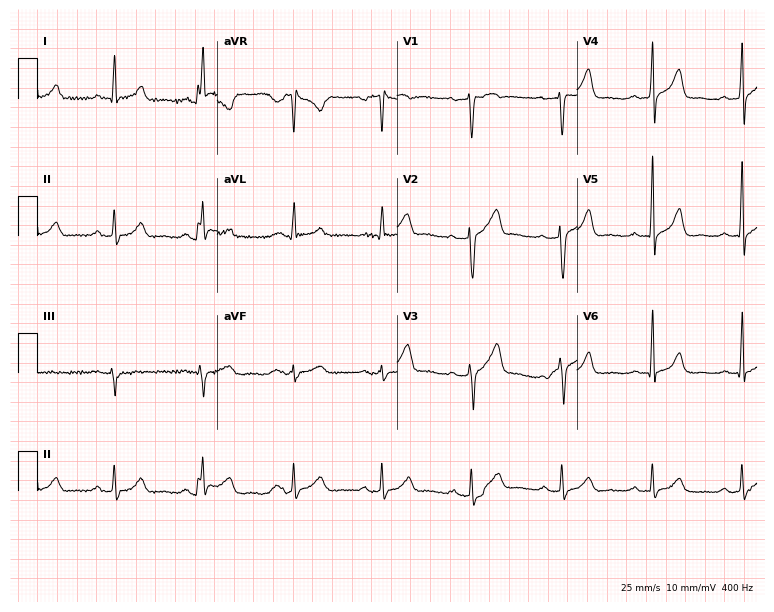
ECG (7.3-second recording at 400 Hz) — a male patient, 38 years old. Labelled as a normal ECG.